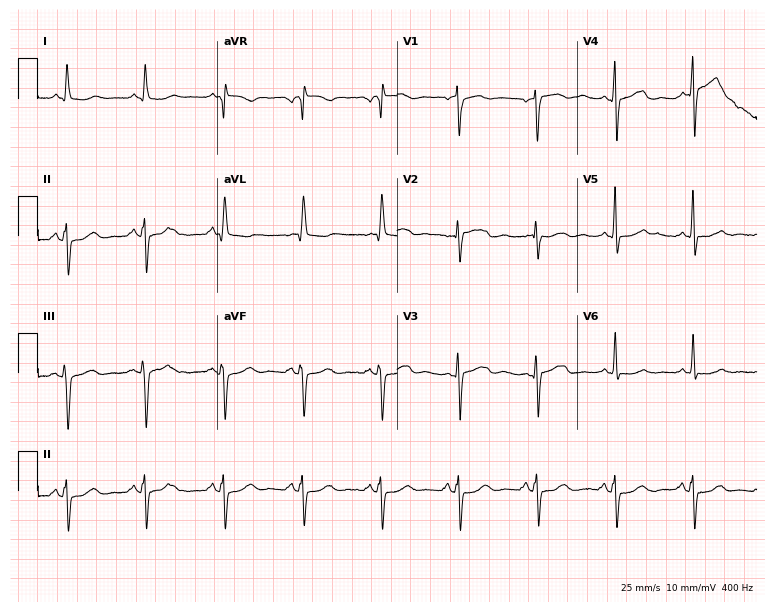
Standard 12-lead ECG recorded from an 80-year-old male patient. None of these six findings is recorded: first-degree AV block, right bundle branch block (RBBB), left bundle branch block (LBBB), sinus bradycardia, atrial fibrillation (AF), sinus tachycardia. Only these six findings were labelled.